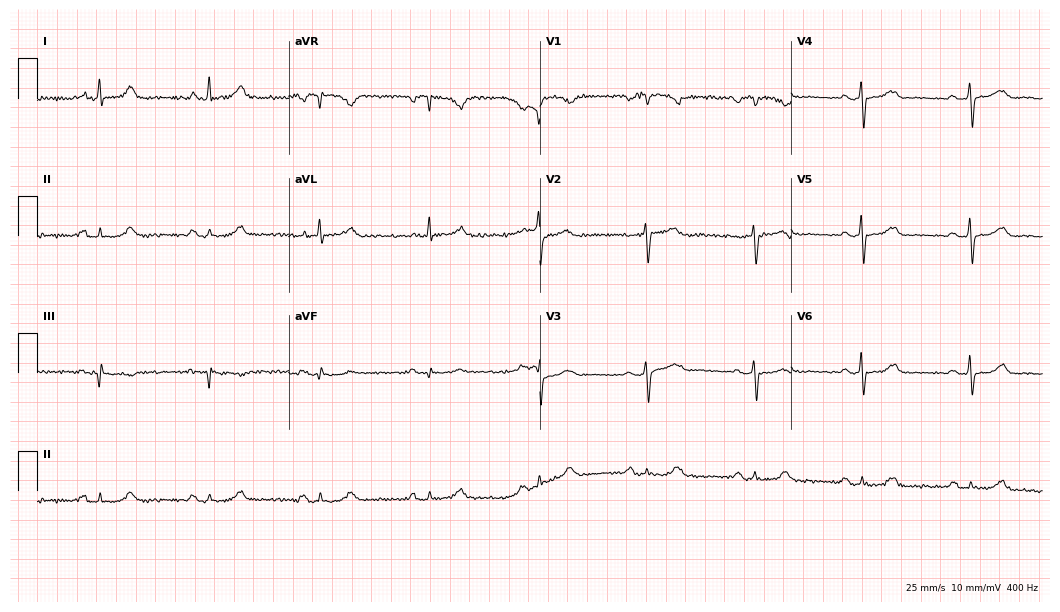
ECG (10.2-second recording at 400 Hz) — a female patient, 57 years old. Screened for six findings — first-degree AV block, right bundle branch block (RBBB), left bundle branch block (LBBB), sinus bradycardia, atrial fibrillation (AF), sinus tachycardia — none is recorded.